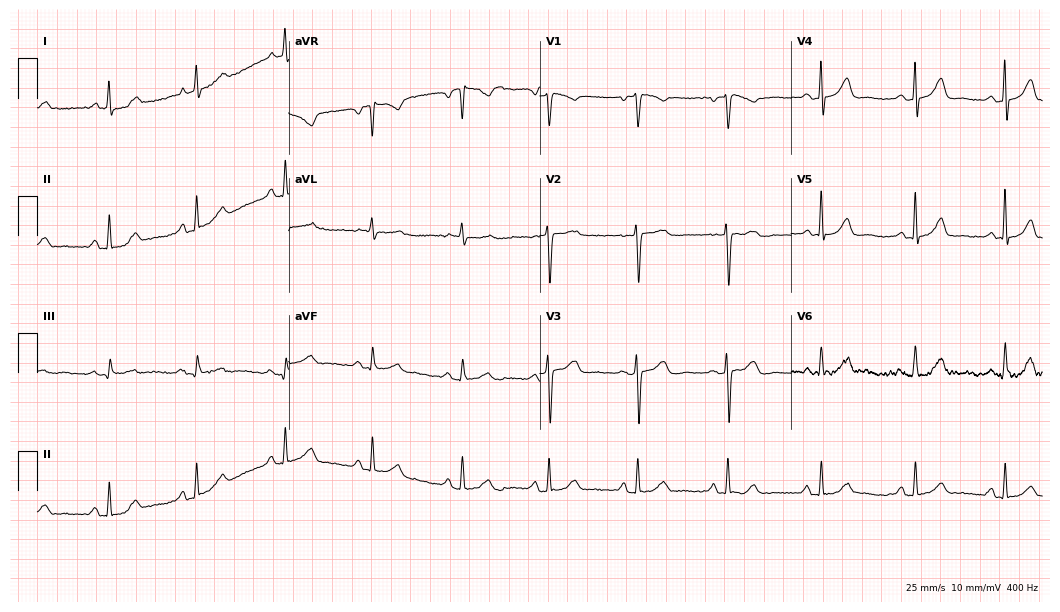
Electrocardiogram (10.2-second recording at 400 Hz), a woman, 58 years old. Of the six screened findings (first-degree AV block, right bundle branch block, left bundle branch block, sinus bradycardia, atrial fibrillation, sinus tachycardia), none is recorded. Only these six findings were labelled.